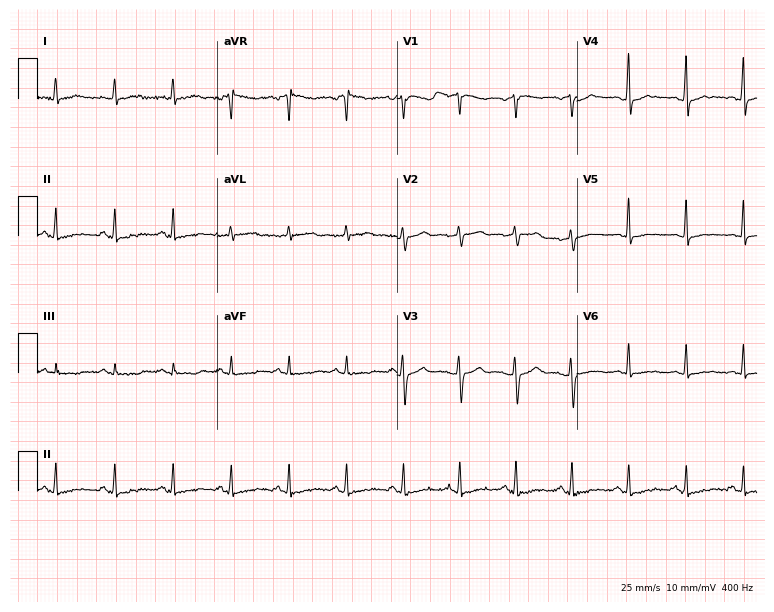
Resting 12-lead electrocardiogram. Patient: a female, 52 years old. The tracing shows sinus tachycardia (a sinus rate of 100 beats per minute or more).